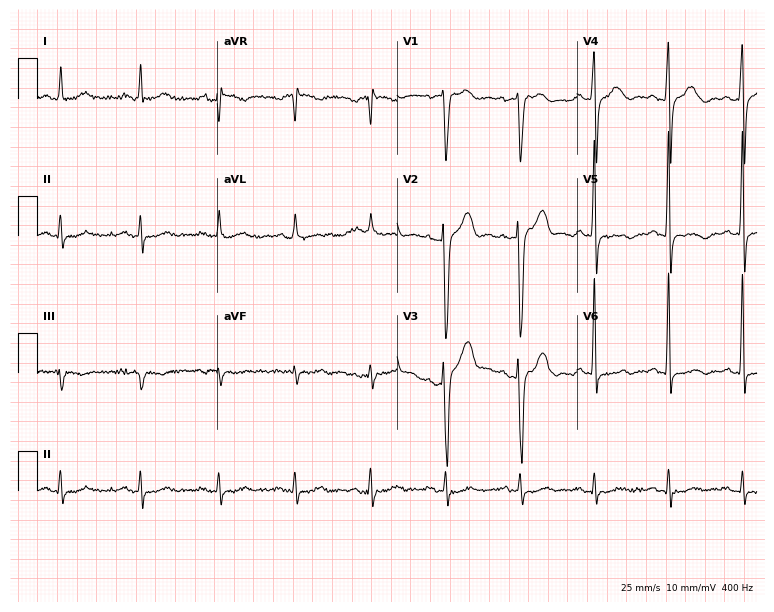
12-lead ECG from a 74-year-old male. Screened for six findings — first-degree AV block, right bundle branch block, left bundle branch block, sinus bradycardia, atrial fibrillation, sinus tachycardia — none is recorded.